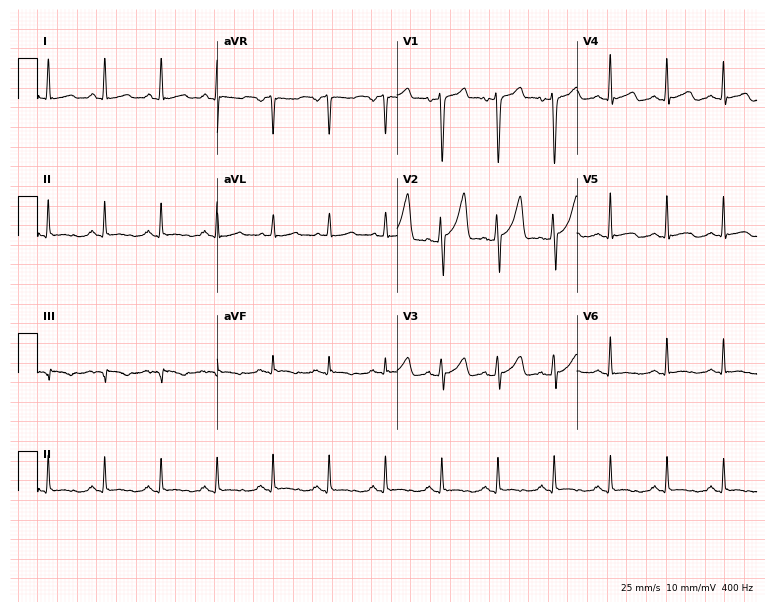
Electrocardiogram (7.3-second recording at 400 Hz), a man, 64 years old. Of the six screened findings (first-degree AV block, right bundle branch block (RBBB), left bundle branch block (LBBB), sinus bradycardia, atrial fibrillation (AF), sinus tachycardia), none is recorded.